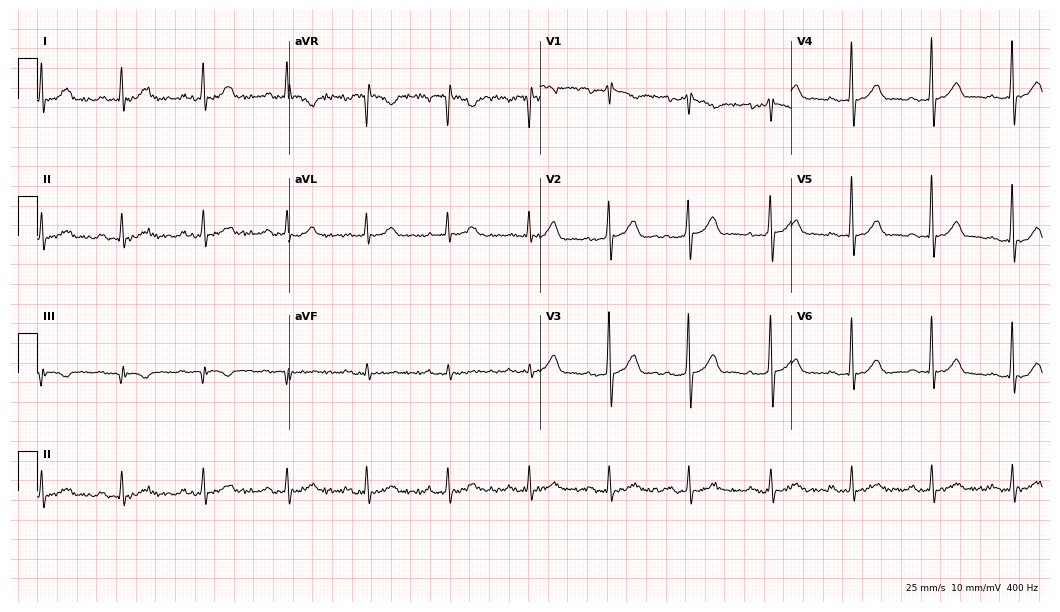
12-lead ECG from a 65-year-old male patient (10.2-second recording at 400 Hz). Recorded interpretation: within normal limits.